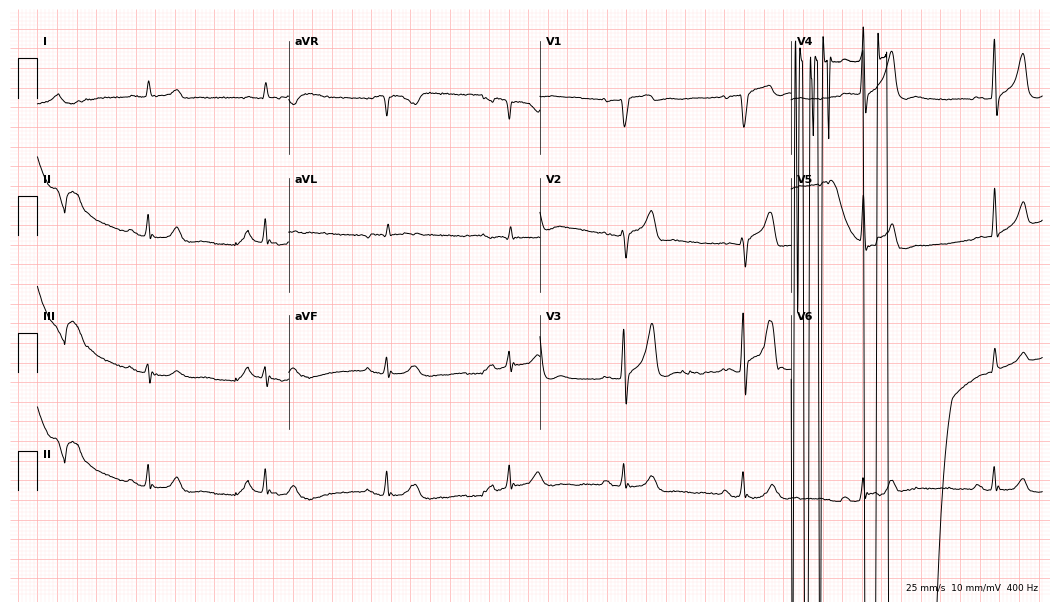
Standard 12-lead ECG recorded from a 77-year-old female patient. The tracing shows atrial fibrillation.